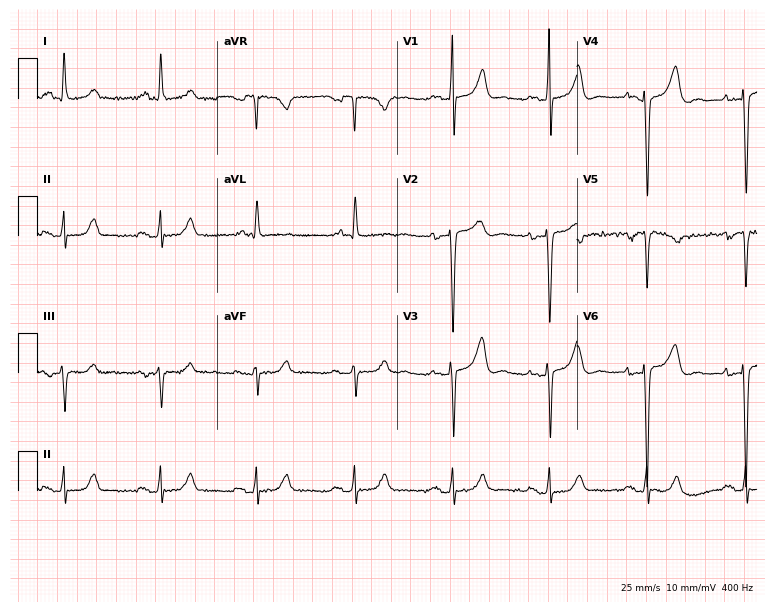
ECG — an 85-year-old woman. Screened for six findings — first-degree AV block, right bundle branch block (RBBB), left bundle branch block (LBBB), sinus bradycardia, atrial fibrillation (AF), sinus tachycardia — none is recorded. Other findings, if any, are not listed.